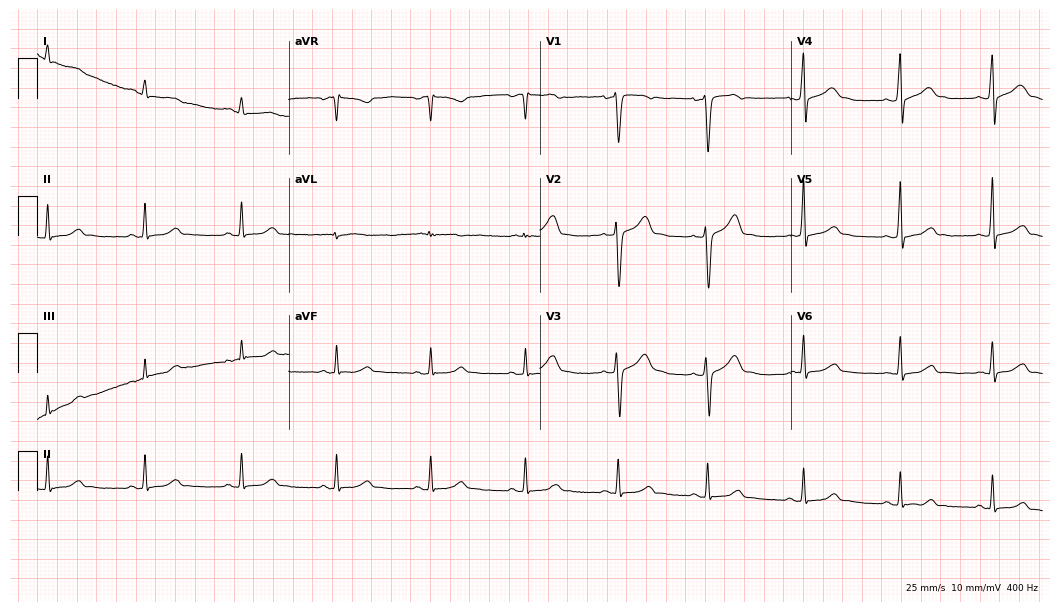
Standard 12-lead ECG recorded from a male patient, 28 years old (10.2-second recording at 400 Hz). Read as a normal ECG.